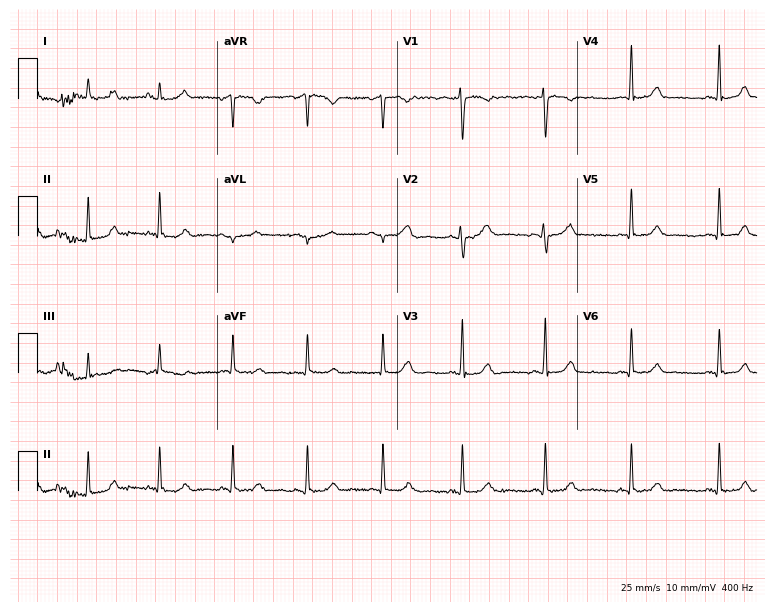
Standard 12-lead ECG recorded from a female, 25 years old (7.3-second recording at 400 Hz). None of these six findings is recorded: first-degree AV block, right bundle branch block (RBBB), left bundle branch block (LBBB), sinus bradycardia, atrial fibrillation (AF), sinus tachycardia. Other findings, if any, are not listed.